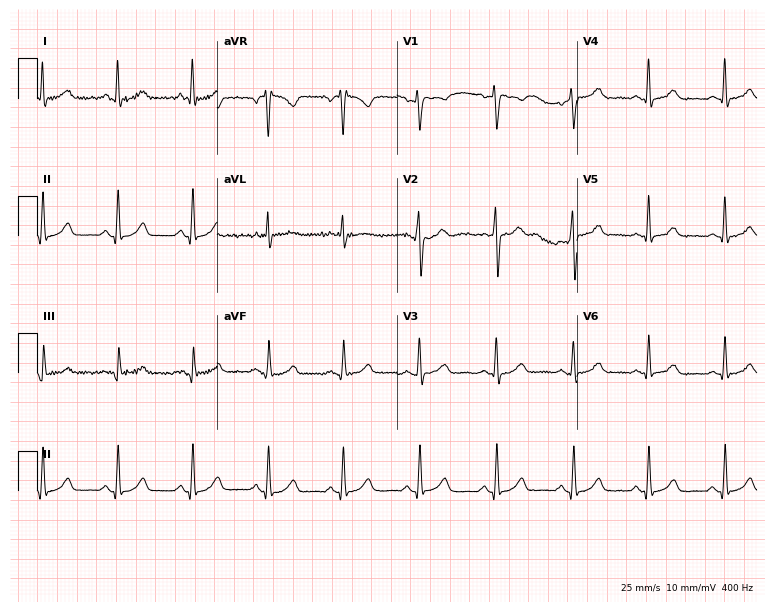
Resting 12-lead electrocardiogram. Patient: a female, 36 years old. Read as a normal ECG.